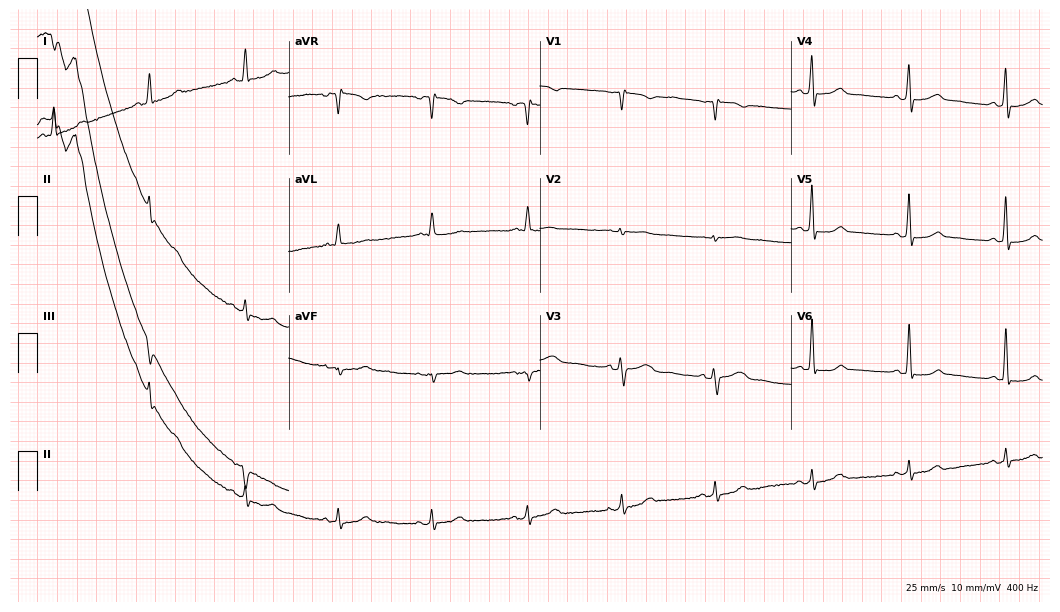
ECG — a female, 57 years old. Screened for six findings — first-degree AV block, right bundle branch block, left bundle branch block, sinus bradycardia, atrial fibrillation, sinus tachycardia — none is recorded.